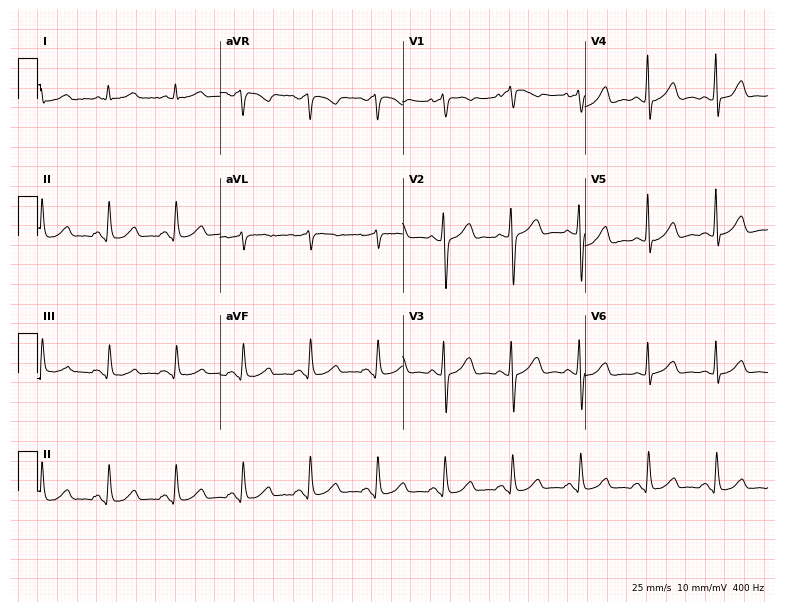
ECG (7.4-second recording at 400 Hz) — a 65-year-old male. Labelled as a normal ECG.